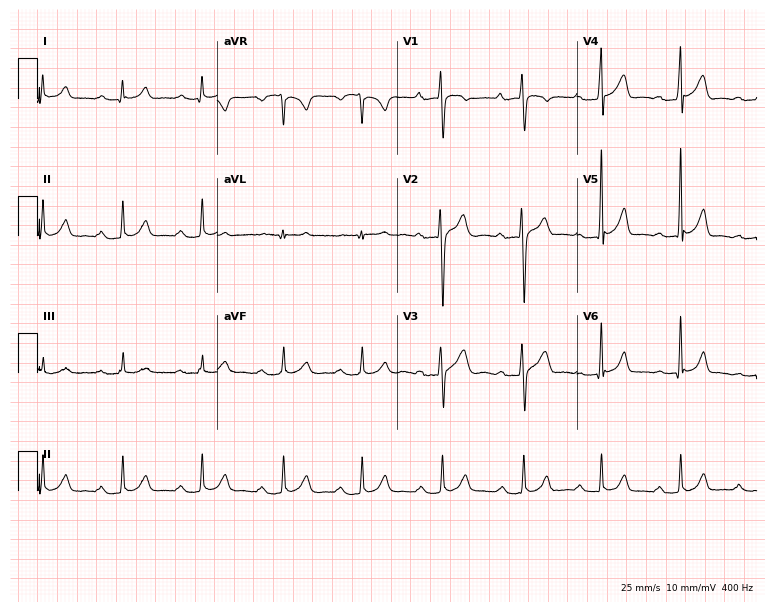
Standard 12-lead ECG recorded from a male patient, 28 years old (7.3-second recording at 400 Hz). The tracing shows first-degree AV block.